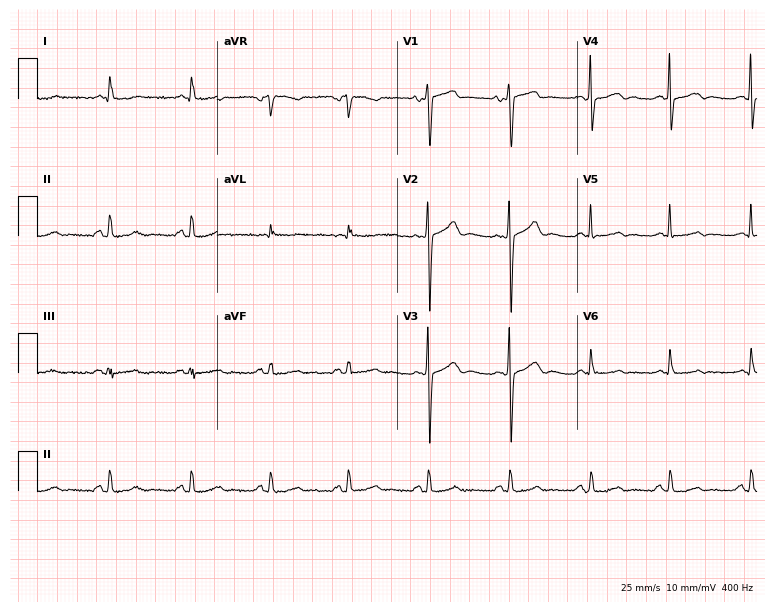
Resting 12-lead electrocardiogram. Patient: a 44-year-old woman. None of these six findings is recorded: first-degree AV block, right bundle branch block, left bundle branch block, sinus bradycardia, atrial fibrillation, sinus tachycardia. Other findings, if any, are not listed.